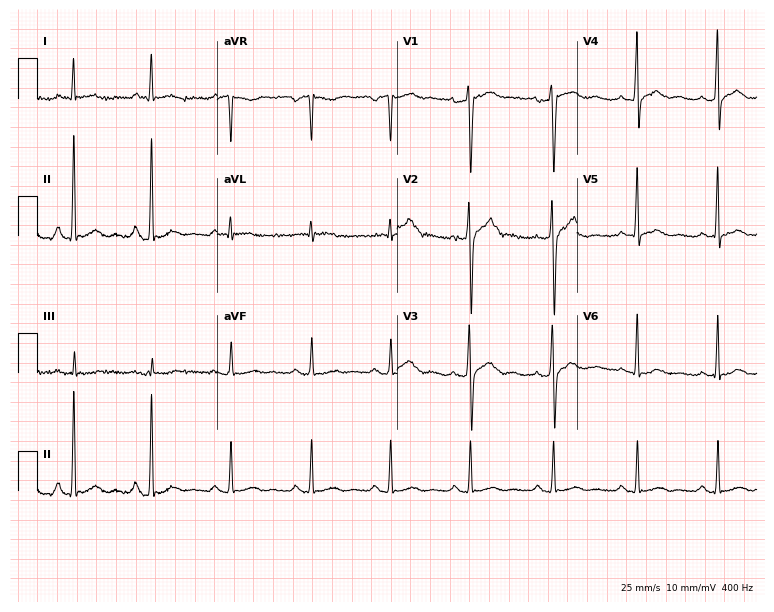
Resting 12-lead electrocardiogram (7.3-second recording at 400 Hz). Patient: a man, 33 years old. None of these six findings is recorded: first-degree AV block, right bundle branch block, left bundle branch block, sinus bradycardia, atrial fibrillation, sinus tachycardia.